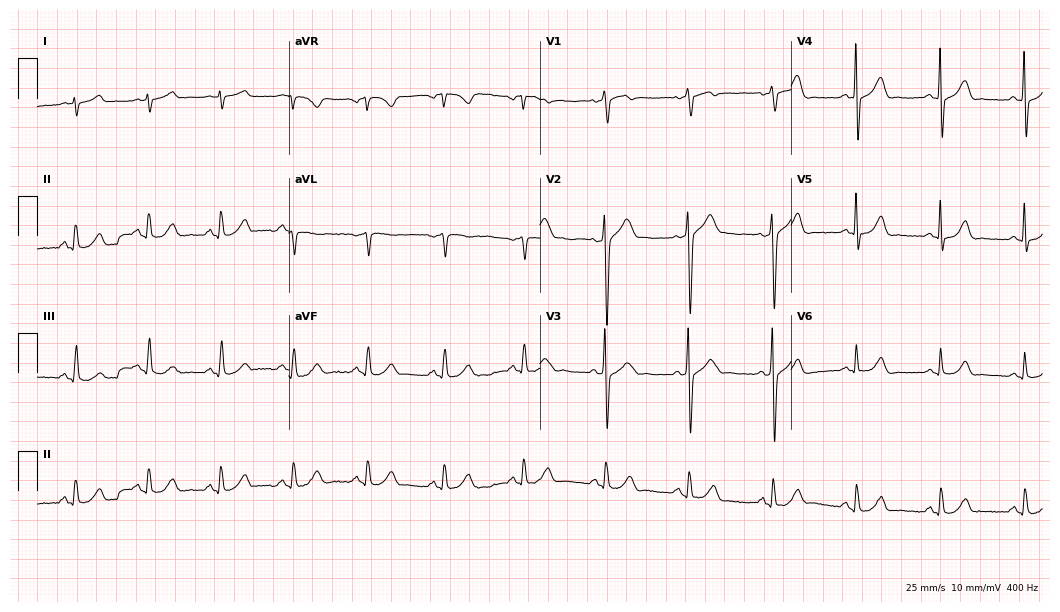
Electrocardiogram (10.2-second recording at 400 Hz), a 63-year-old man. Of the six screened findings (first-degree AV block, right bundle branch block, left bundle branch block, sinus bradycardia, atrial fibrillation, sinus tachycardia), none is recorded. Only these six findings were labelled.